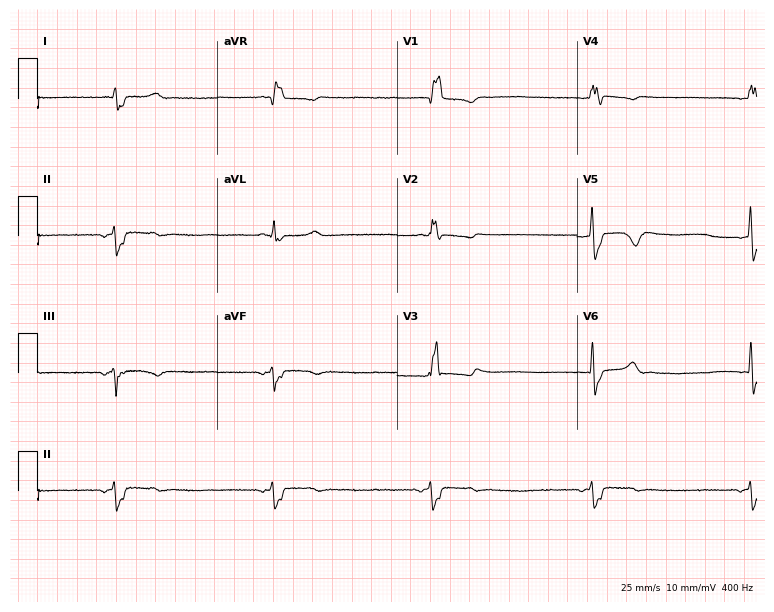
Electrocardiogram (7.3-second recording at 400 Hz), a 43-year-old male. Interpretation includes right bundle branch block, sinus bradycardia (a sinus rate of 50 beats per minute or less).